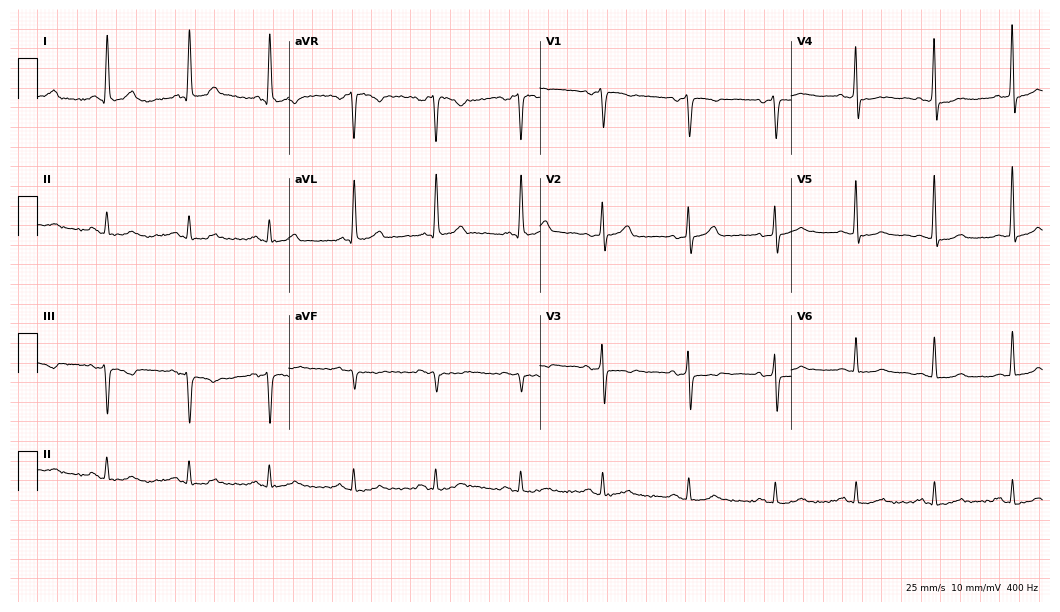
Electrocardiogram, a woman, 63 years old. Of the six screened findings (first-degree AV block, right bundle branch block, left bundle branch block, sinus bradycardia, atrial fibrillation, sinus tachycardia), none is recorded.